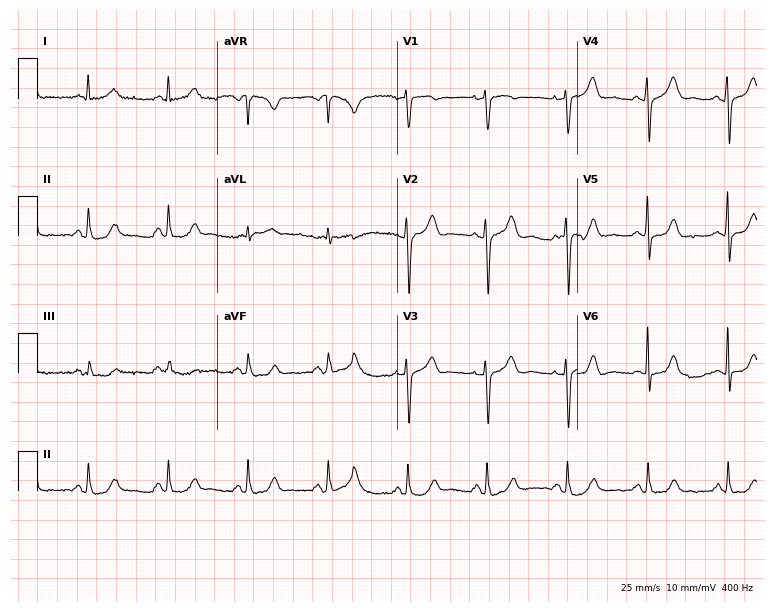
Standard 12-lead ECG recorded from a female, 54 years old. Read as a normal ECG.